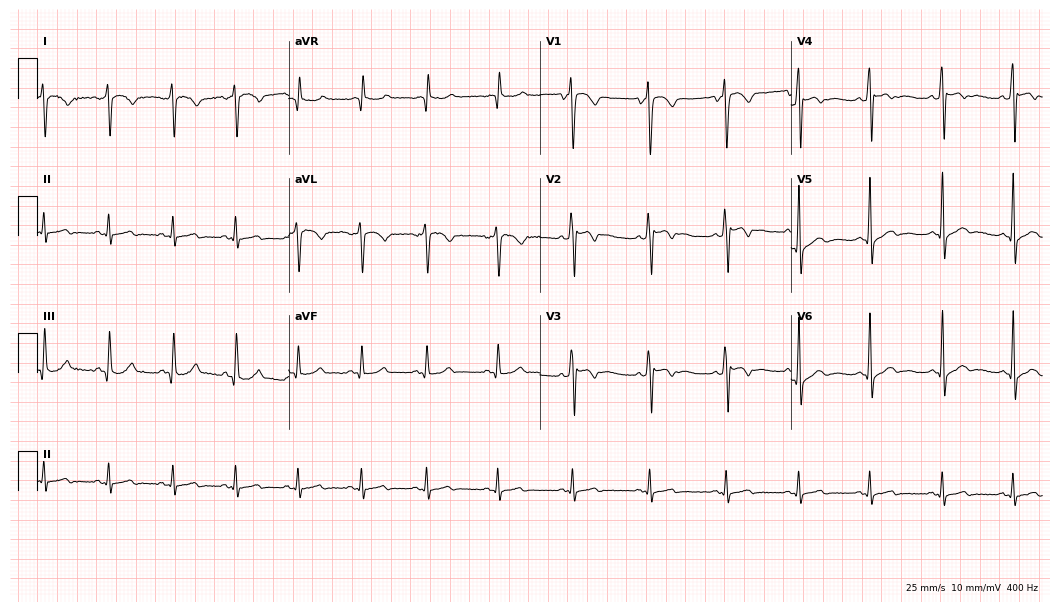
Resting 12-lead electrocardiogram. Patient: a male, 23 years old. None of these six findings is recorded: first-degree AV block, right bundle branch block, left bundle branch block, sinus bradycardia, atrial fibrillation, sinus tachycardia. Findings outside these six are not listed.